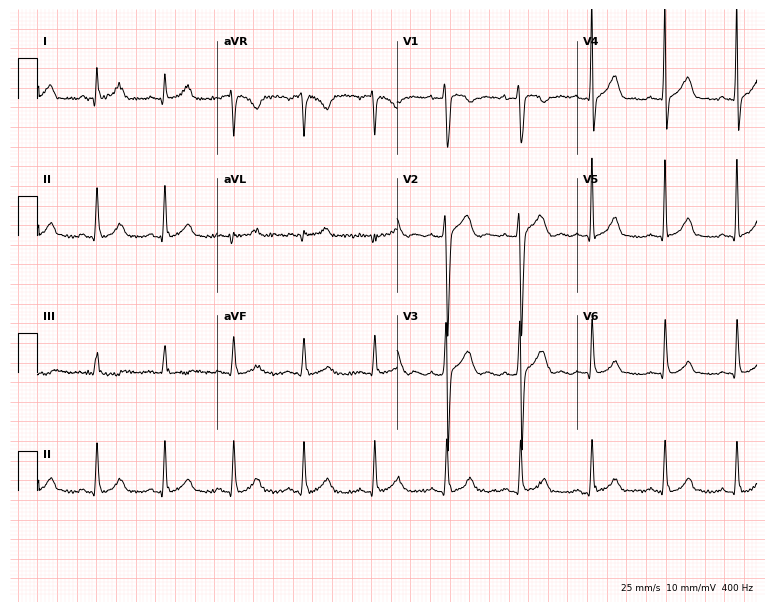
Standard 12-lead ECG recorded from a 19-year-old male patient (7.3-second recording at 400 Hz). Read as a normal ECG.